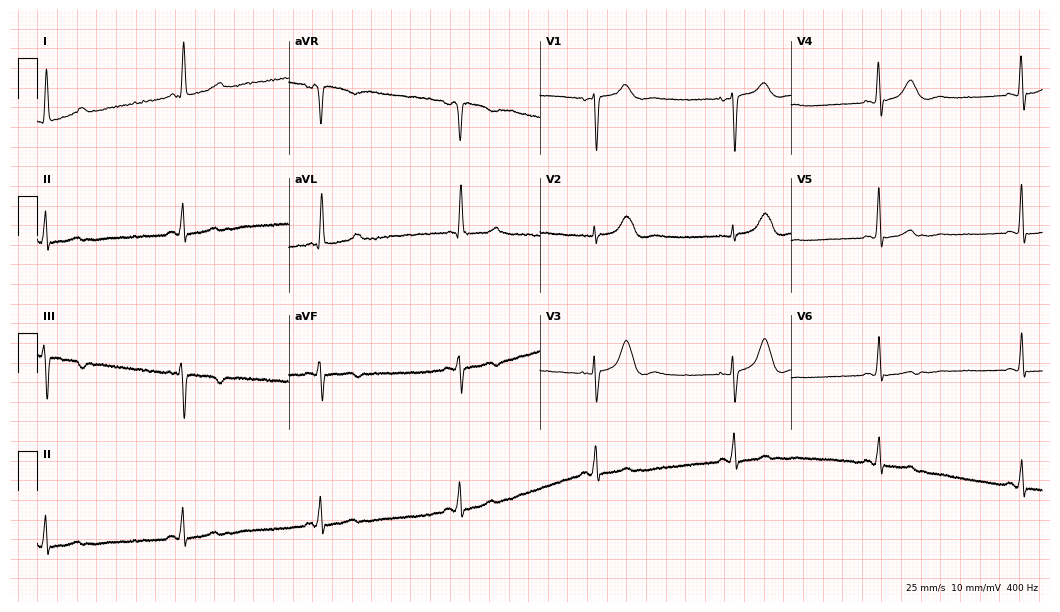
ECG — an 82-year-old female patient. Screened for six findings — first-degree AV block, right bundle branch block, left bundle branch block, sinus bradycardia, atrial fibrillation, sinus tachycardia — none is recorded.